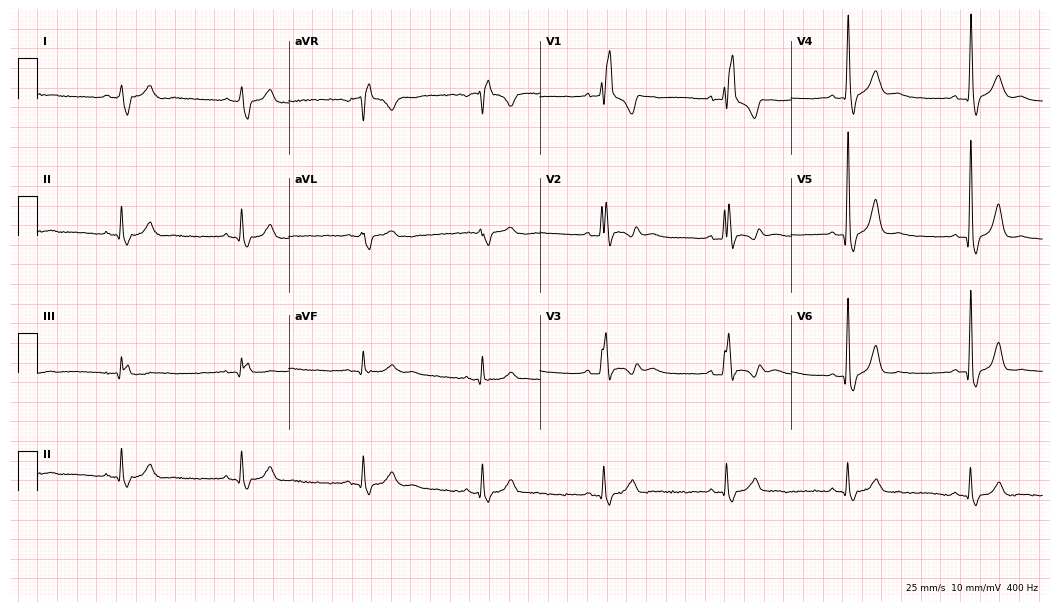
Electrocardiogram (10.2-second recording at 400 Hz), a 58-year-old man. Interpretation includes right bundle branch block (RBBB), sinus bradycardia (a sinus rate of 50 beats per minute or less).